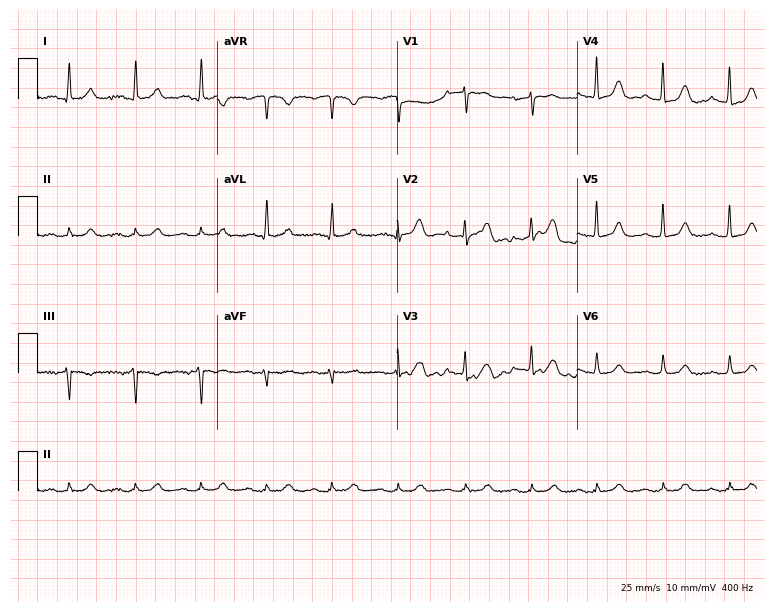
Resting 12-lead electrocardiogram. Patient: a female, 85 years old. Read as a normal ECG.